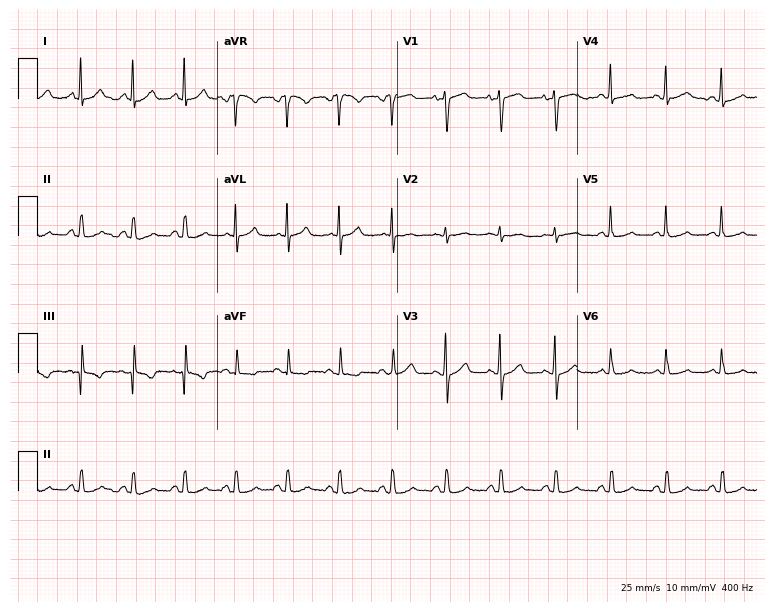
Resting 12-lead electrocardiogram. Patient: a 42-year-old woman. None of these six findings is recorded: first-degree AV block, right bundle branch block, left bundle branch block, sinus bradycardia, atrial fibrillation, sinus tachycardia.